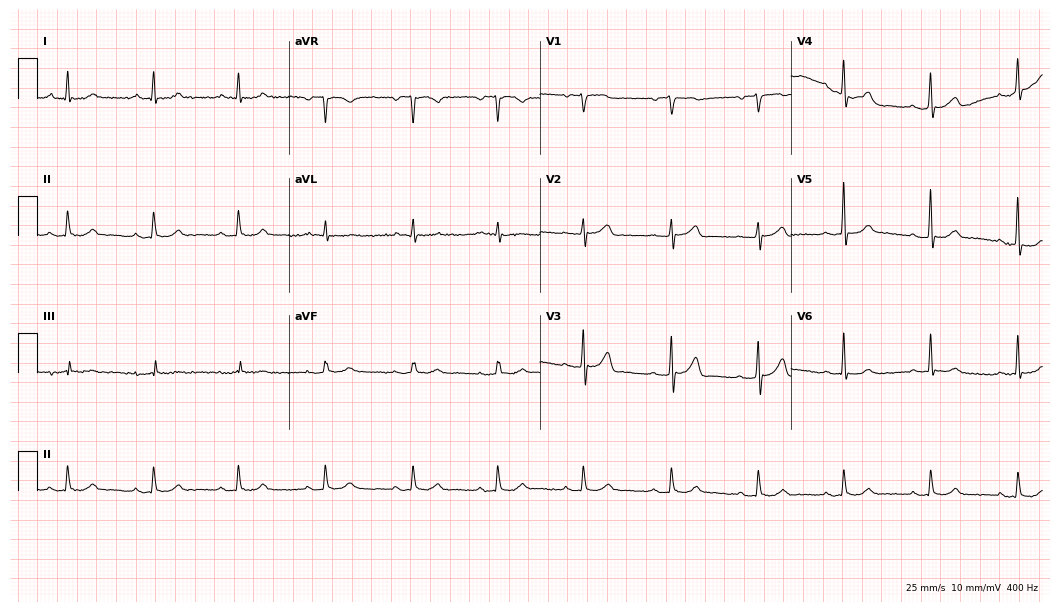
Electrocardiogram, a male, 59 years old. Overall reading on record: normal ECG.